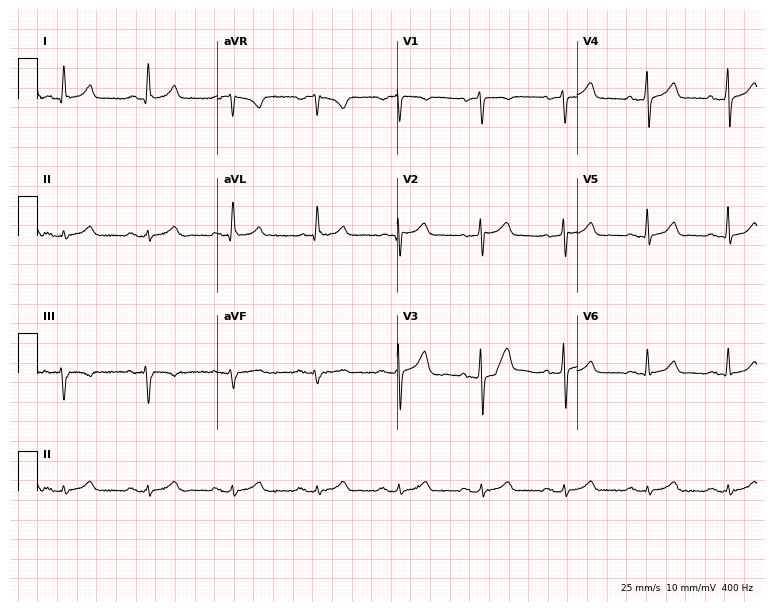
ECG — a 62-year-old male patient. Labelled as a normal ECG.